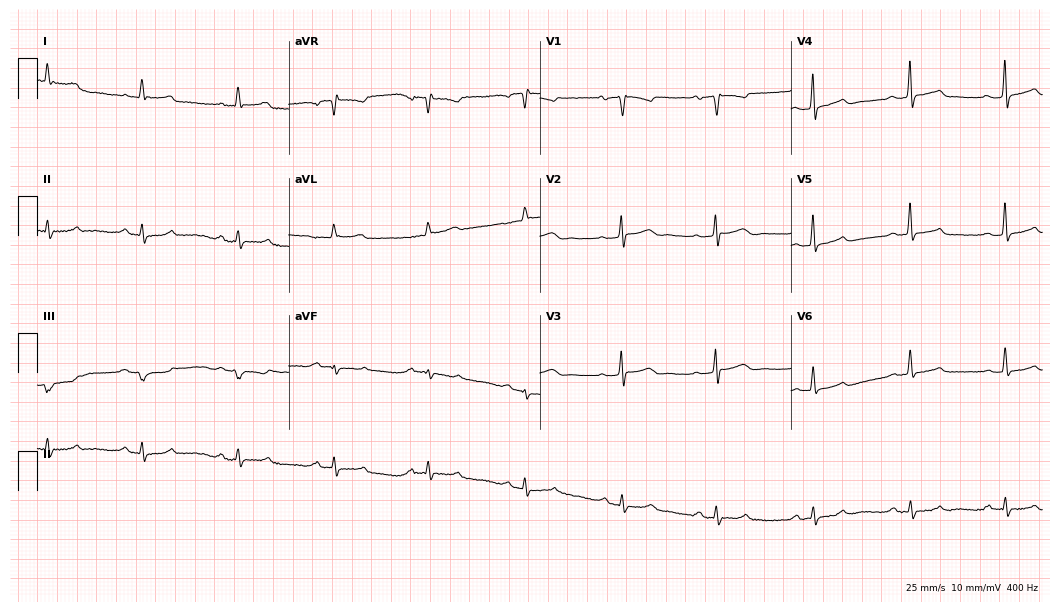
Standard 12-lead ECG recorded from a woman, 53 years old (10.2-second recording at 400 Hz). Read as a normal ECG.